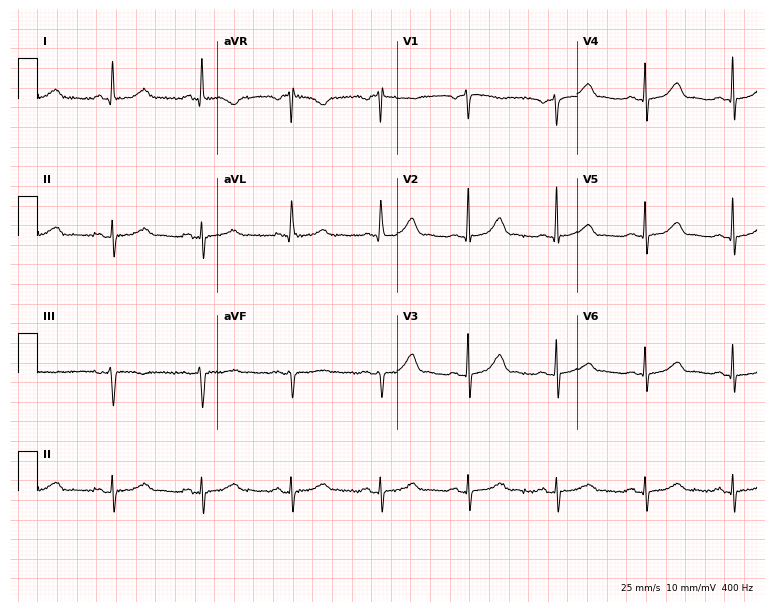
Electrocardiogram, a 76-year-old female patient. Overall reading on record: normal ECG.